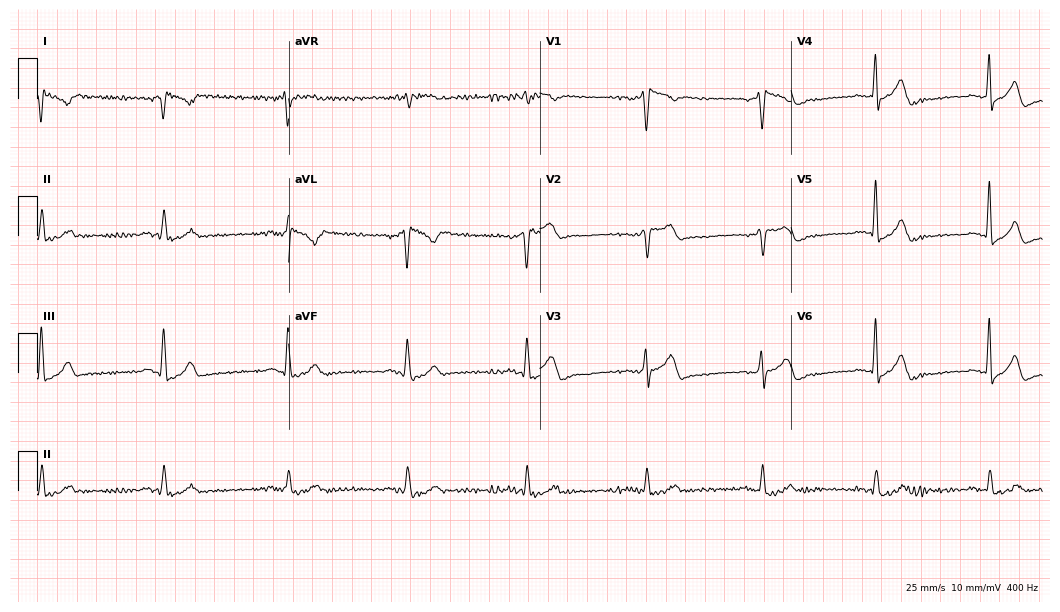
Resting 12-lead electrocardiogram. Patient: a man, 71 years old. None of these six findings is recorded: first-degree AV block, right bundle branch block, left bundle branch block, sinus bradycardia, atrial fibrillation, sinus tachycardia.